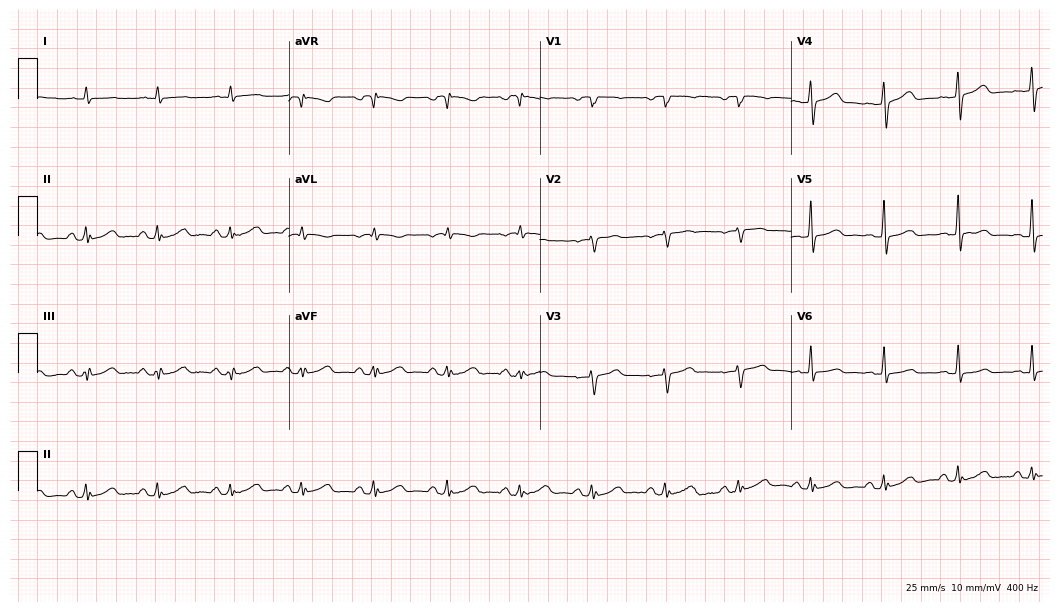
ECG (10.2-second recording at 400 Hz) — a 76-year-old male patient. Screened for six findings — first-degree AV block, right bundle branch block (RBBB), left bundle branch block (LBBB), sinus bradycardia, atrial fibrillation (AF), sinus tachycardia — none is recorded. Findings outside these six are not listed.